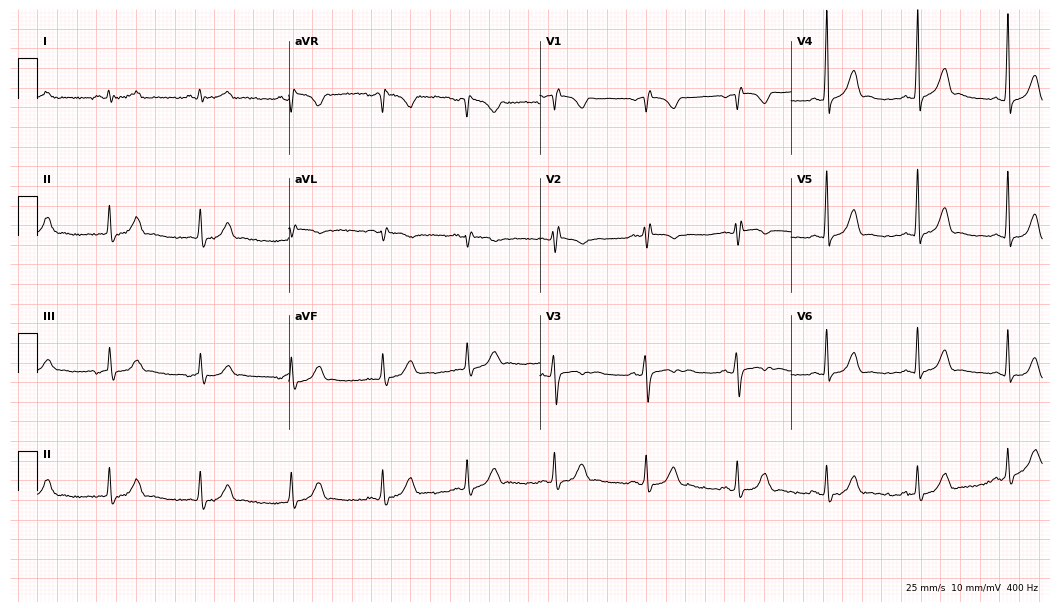
Resting 12-lead electrocardiogram. Patient: a 34-year-old woman. None of these six findings is recorded: first-degree AV block, right bundle branch block, left bundle branch block, sinus bradycardia, atrial fibrillation, sinus tachycardia. Findings outside these six are not listed.